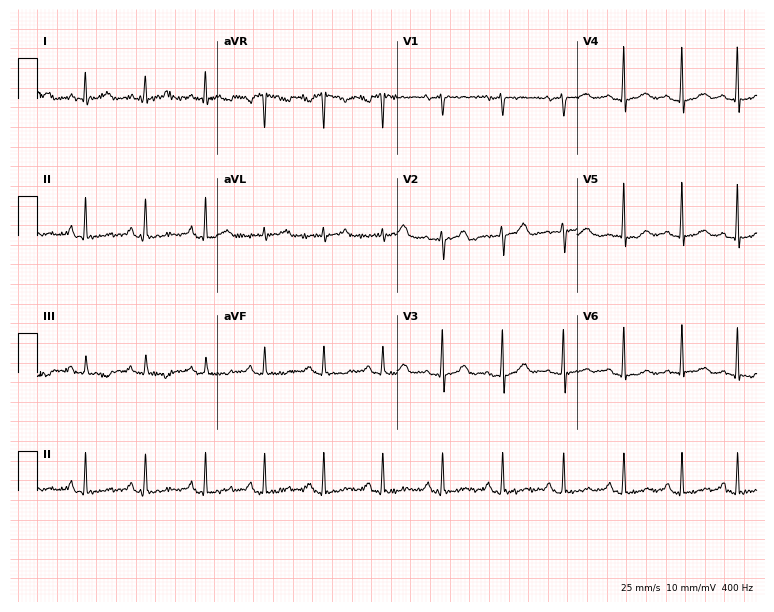
Electrocardiogram (7.3-second recording at 400 Hz), a 51-year-old female patient. Of the six screened findings (first-degree AV block, right bundle branch block (RBBB), left bundle branch block (LBBB), sinus bradycardia, atrial fibrillation (AF), sinus tachycardia), none is recorded.